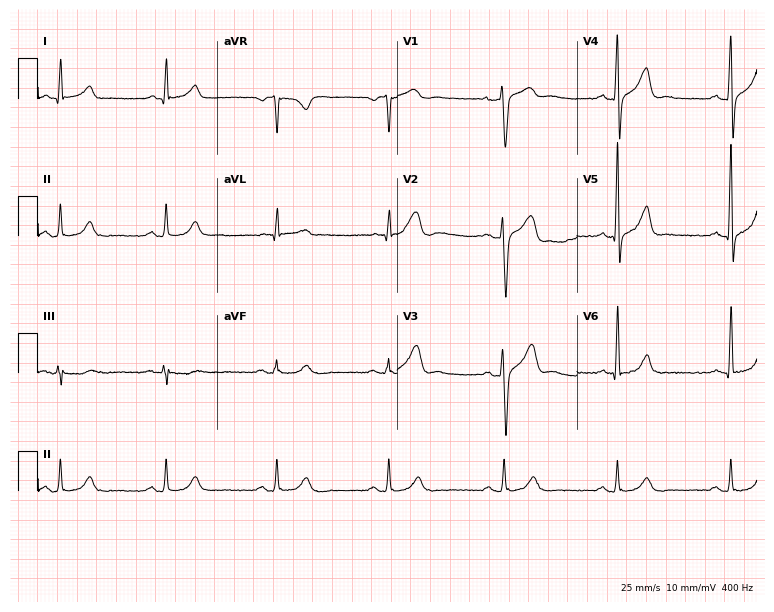
12-lead ECG from a 49-year-old male patient. Recorded interpretation: within normal limits.